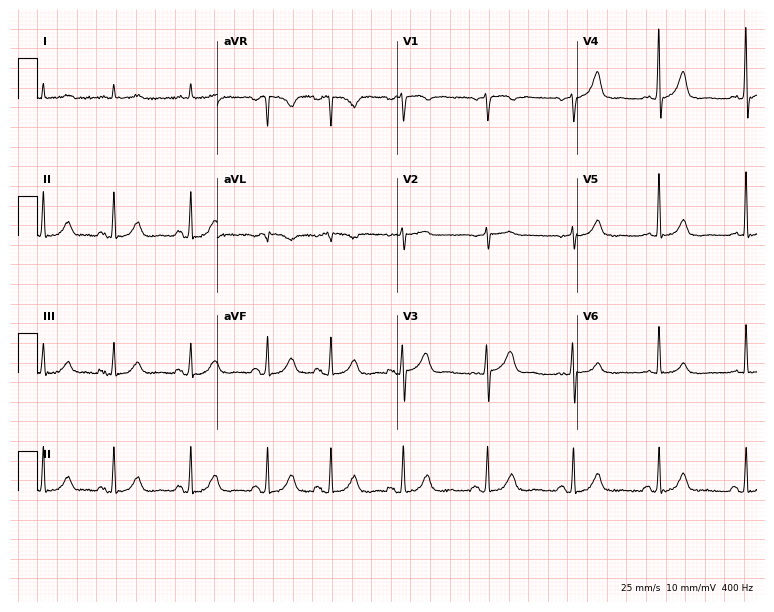
ECG (7.3-second recording at 400 Hz) — a 70-year-old male patient. Screened for six findings — first-degree AV block, right bundle branch block, left bundle branch block, sinus bradycardia, atrial fibrillation, sinus tachycardia — none is recorded.